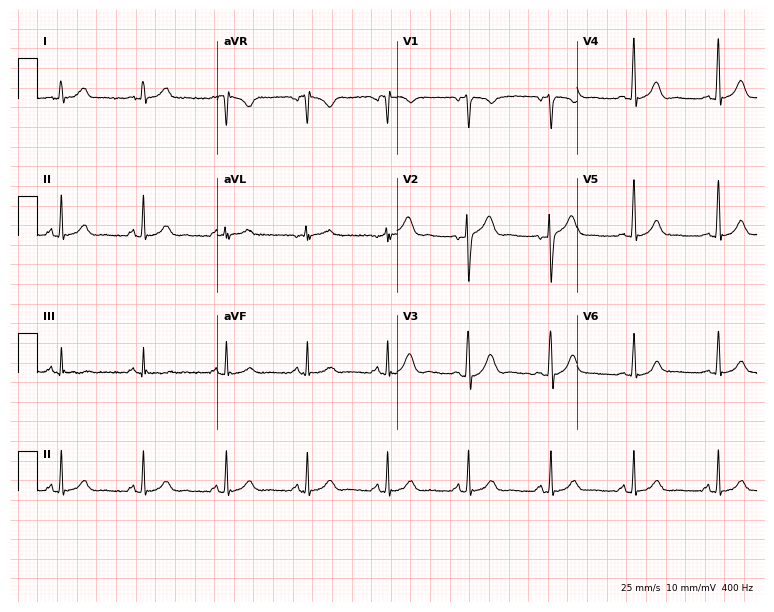
12-lead ECG from a 35-year-old male patient (7.3-second recording at 400 Hz). Recorded interpretation: within normal limits.